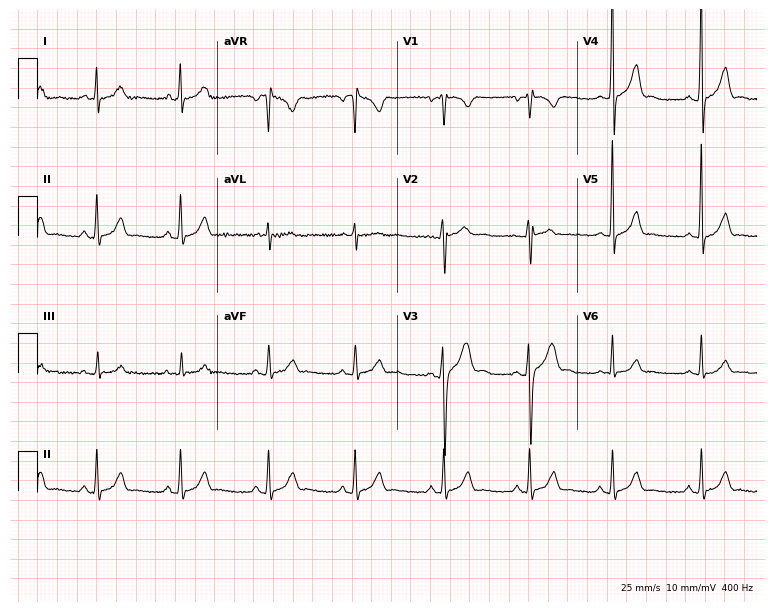
12-lead ECG from a 17-year-old man (7.3-second recording at 400 Hz). Recorded interpretation: within normal limits.